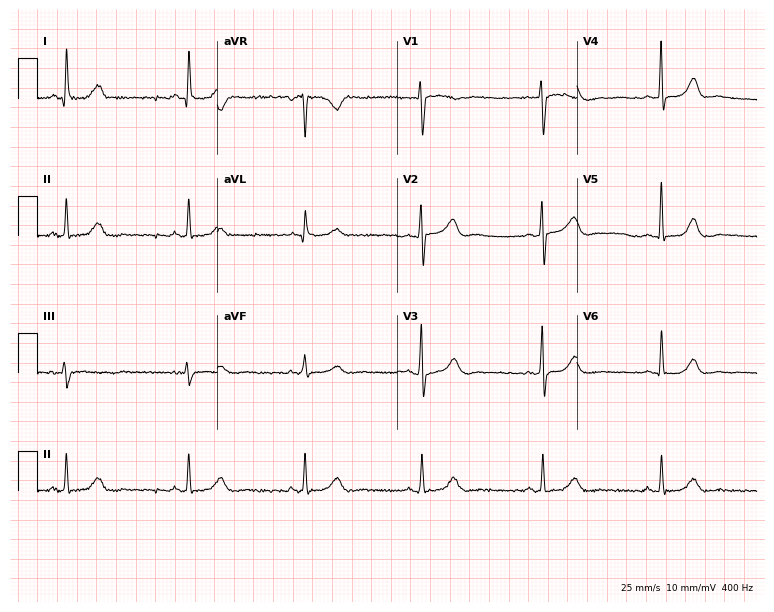
ECG (7.3-second recording at 400 Hz) — a female, 55 years old. Screened for six findings — first-degree AV block, right bundle branch block, left bundle branch block, sinus bradycardia, atrial fibrillation, sinus tachycardia — none is recorded. Findings outside these six are not listed.